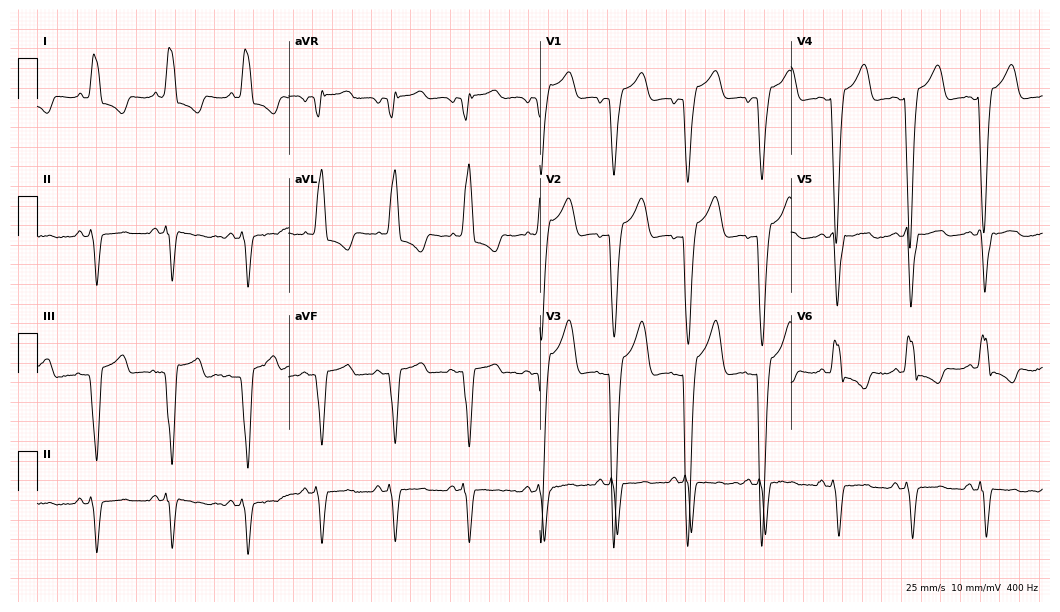
Electrocardiogram (10.2-second recording at 400 Hz), a 74-year-old woman. Interpretation includes left bundle branch block.